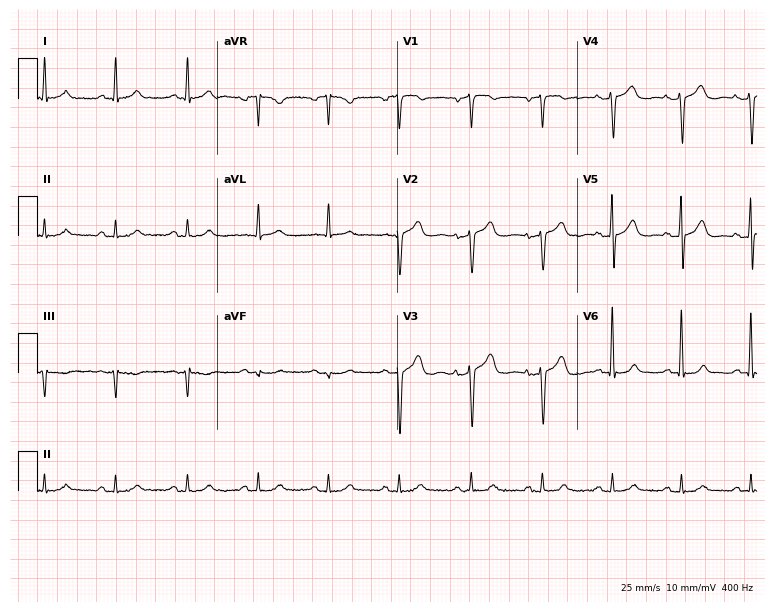
12-lead ECG from a man, 78 years old. Screened for six findings — first-degree AV block, right bundle branch block, left bundle branch block, sinus bradycardia, atrial fibrillation, sinus tachycardia — none is recorded.